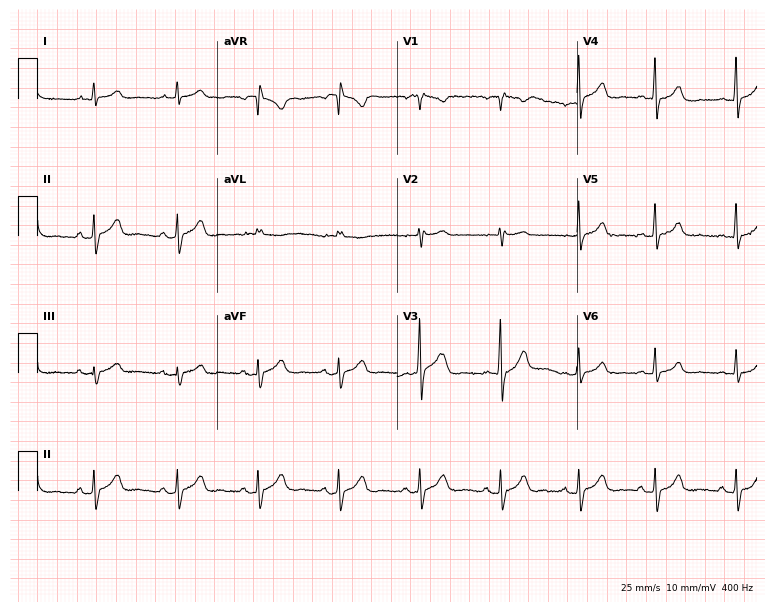
Standard 12-lead ECG recorded from a 40-year-old man (7.3-second recording at 400 Hz). Read as a normal ECG.